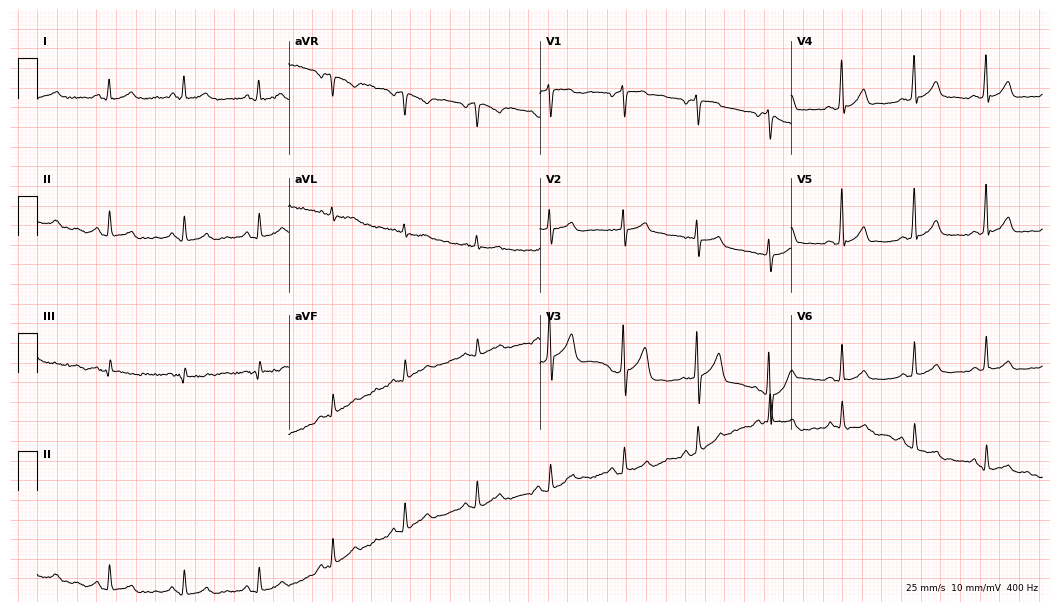
12-lead ECG from a 71-year-old male. Recorded interpretation: within normal limits.